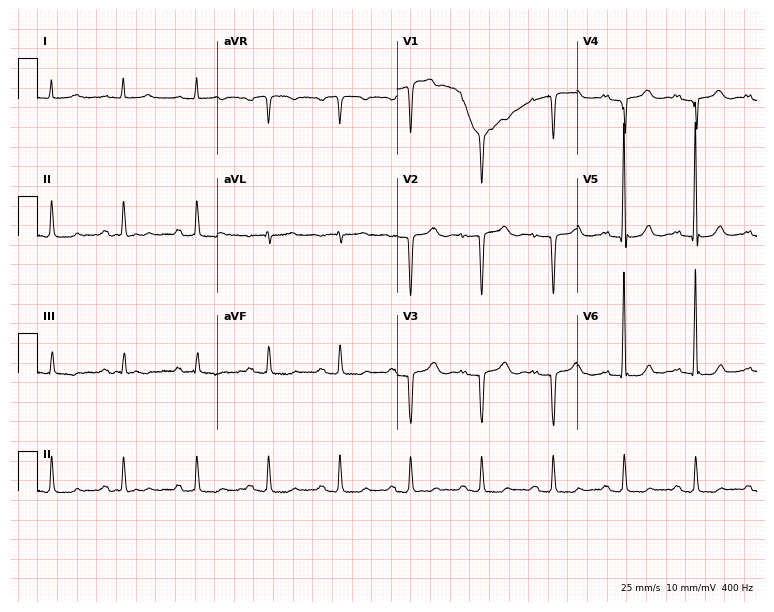
ECG — a woman, 79 years old. Screened for six findings — first-degree AV block, right bundle branch block, left bundle branch block, sinus bradycardia, atrial fibrillation, sinus tachycardia — none is recorded. Other findings, if any, are not listed.